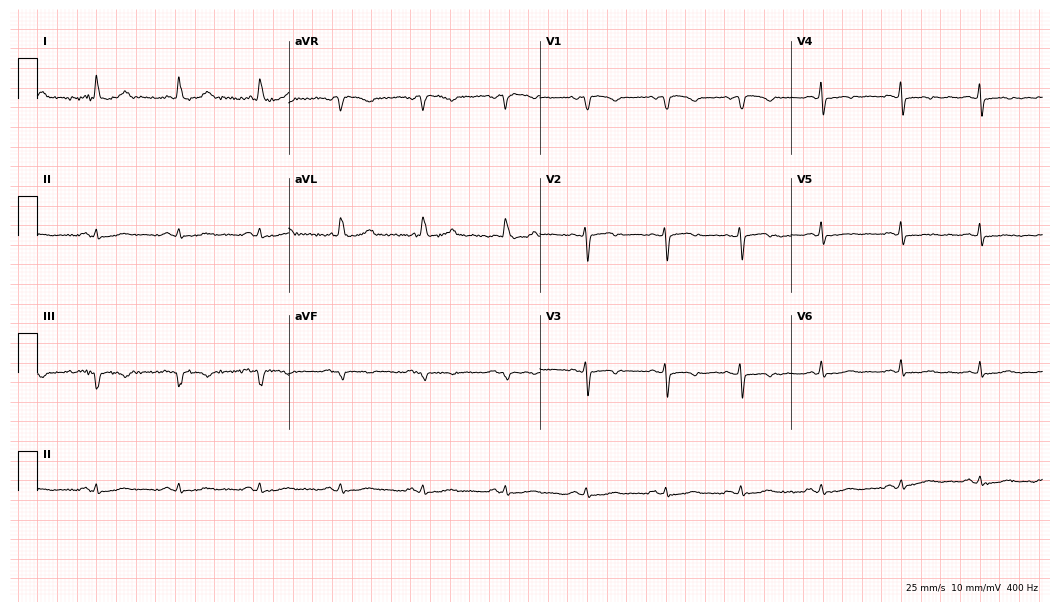
12-lead ECG (10.2-second recording at 400 Hz) from an 83-year-old woman. Screened for six findings — first-degree AV block, right bundle branch block, left bundle branch block, sinus bradycardia, atrial fibrillation, sinus tachycardia — none is recorded. Other findings, if any, are not listed.